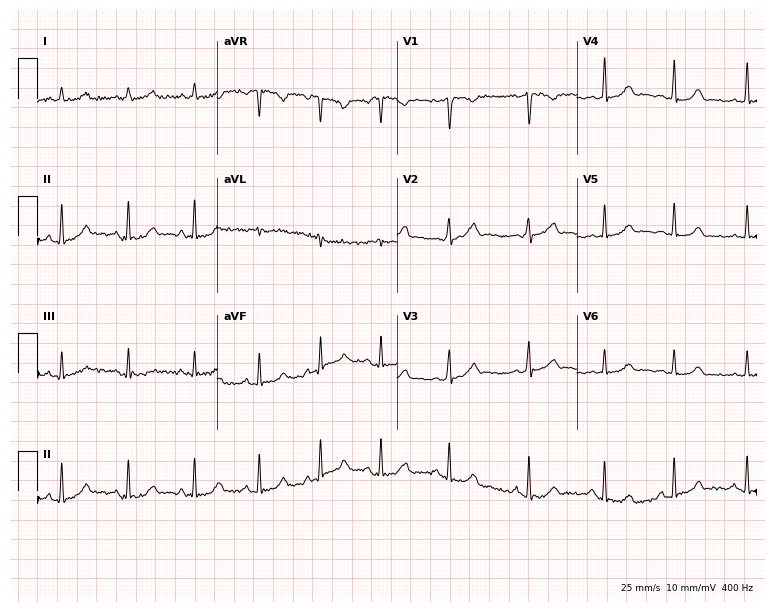
12-lead ECG from a female, 33 years old. Screened for six findings — first-degree AV block, right bundle branch block, left bundle branch block, sinus bradycardia, atrial fibrillation, sinus tachycardia — none is recorded. Findings outside these six are not listed.